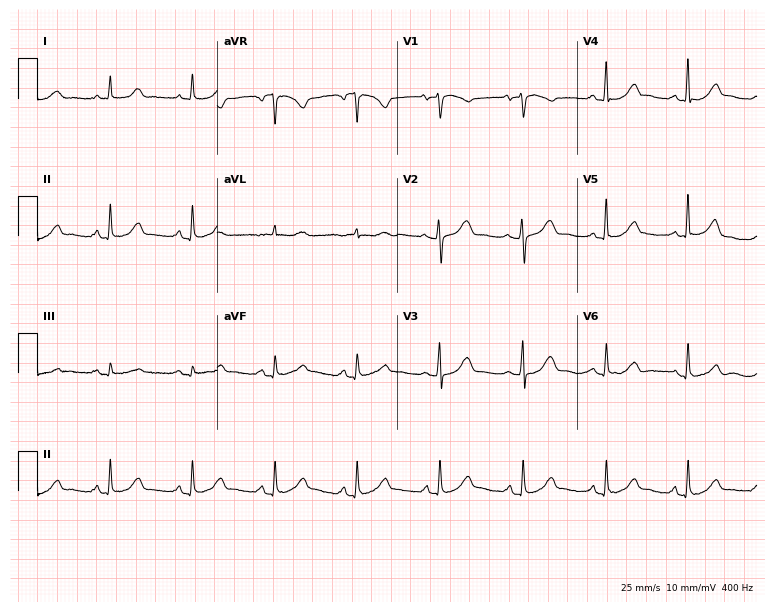
Standard 12-lead ECG recorded from a woman, 66 years old. None of these six findings is recorded: first-degree AV block, right bundle branch block, left bundle branch block, sinus bradycardia, atrial fibrillation, sinus tachycardia.